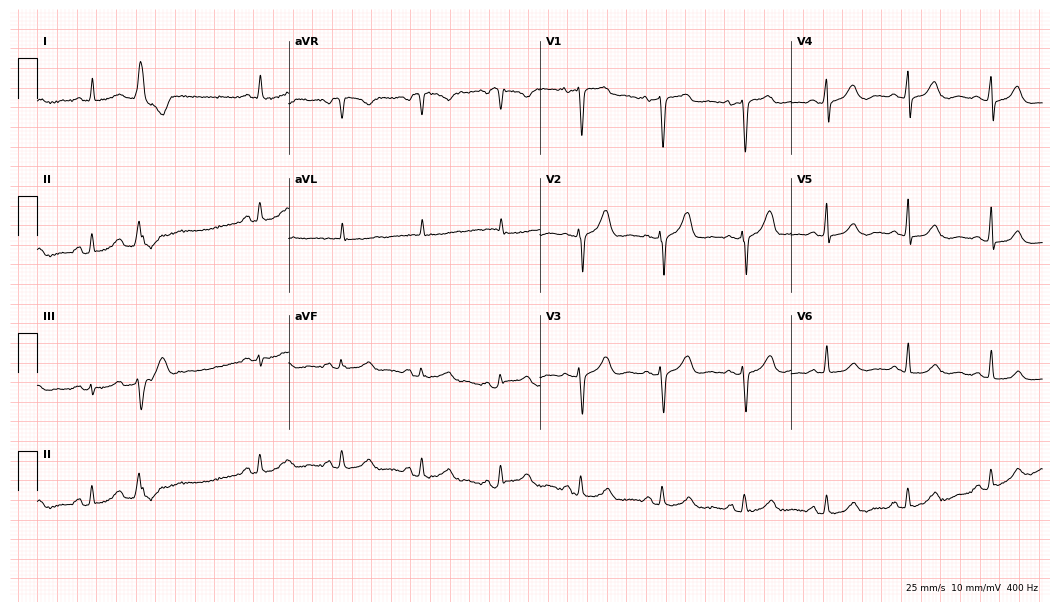
Electrocardiogram (10.2-second recording at 400 Hz), a 73-year-old female patient. Of the six screened findings (first-degree AV block, right bundle branch block, left bundle branch block, sinus bradycardia, atrial fibrillation, sinus tachycardia), none is recorded. Only these six findings were labelled.